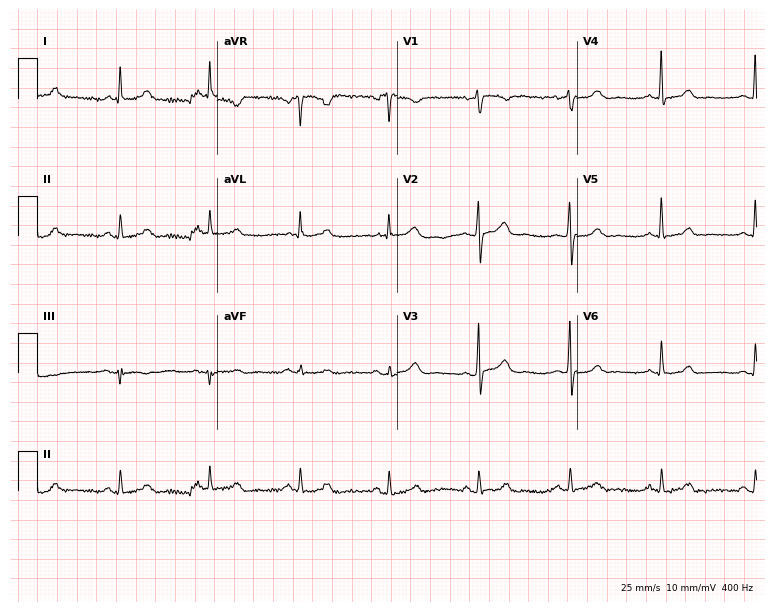
12-lead ECG (7.3-second recording at 400 Hz) from a female, 44 years old. Labelled as a normal ECG.